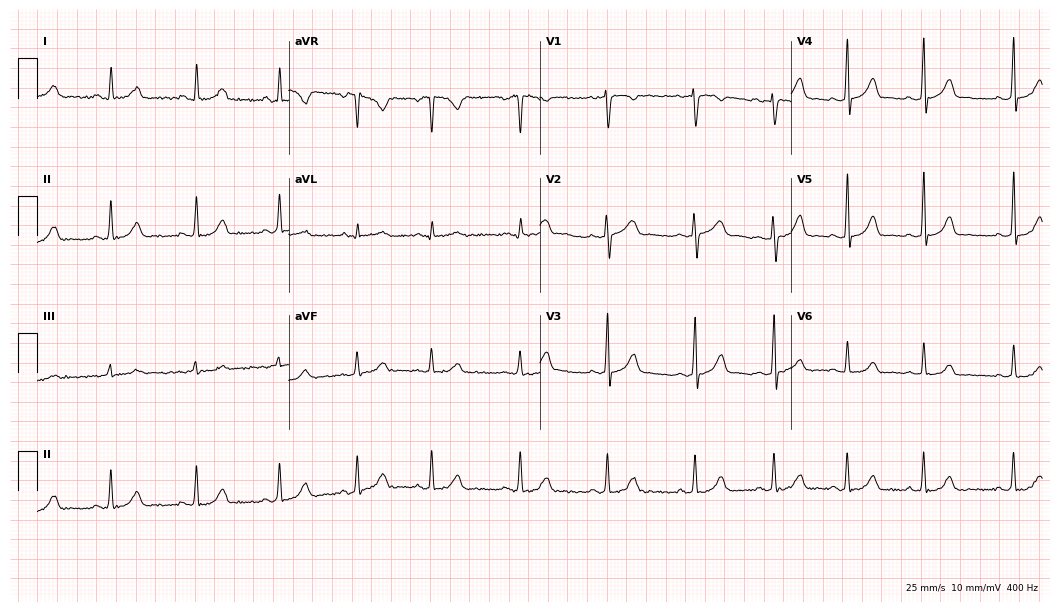
Standard 12-lead ECG recorded from a 26-year-old woman. Read as a normal ECG.